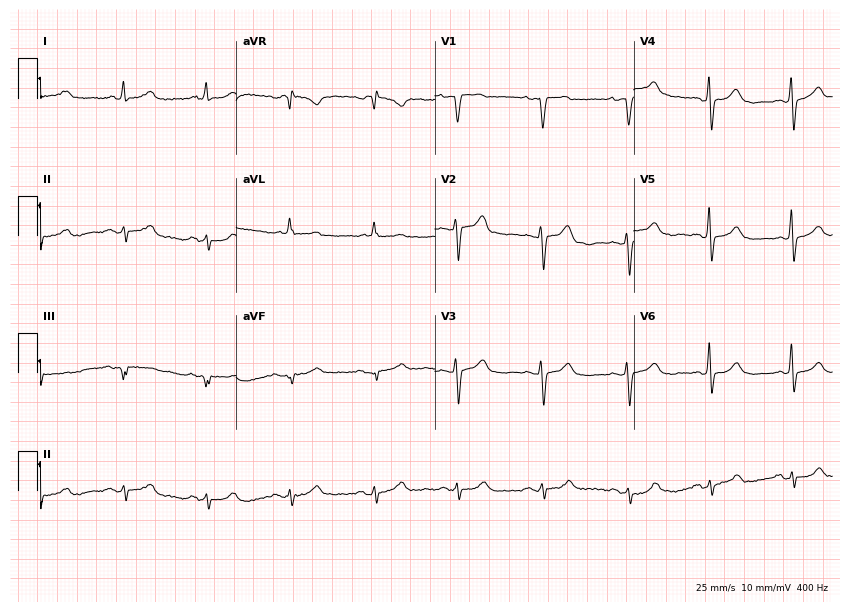
Resting 12-lead electrocardiogram. Patient: a 69-year-old female. None of these six findings is recorded: first-degree AV block, right bundle branch block, left bundle branch block, sinus bradycardia, atrial fibrillation, sinus tachycardia.